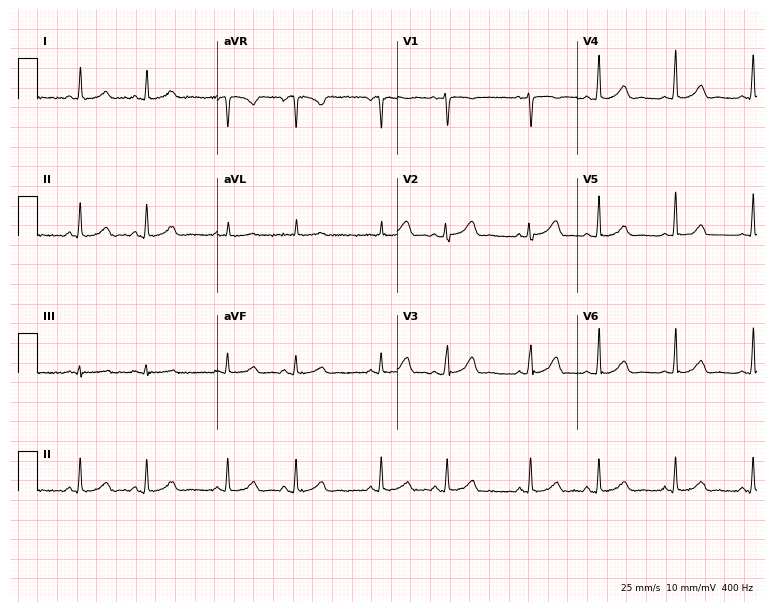
Standard 12-lead ECG recorded from a 47-year-old woman. None of these six findings is recorded: first-degree AV block, right bundle branch block (RBBB), left bundle branch block (LBBB), sinus bradycardia, atrial fibrillation (AF), sinus tachycardia.